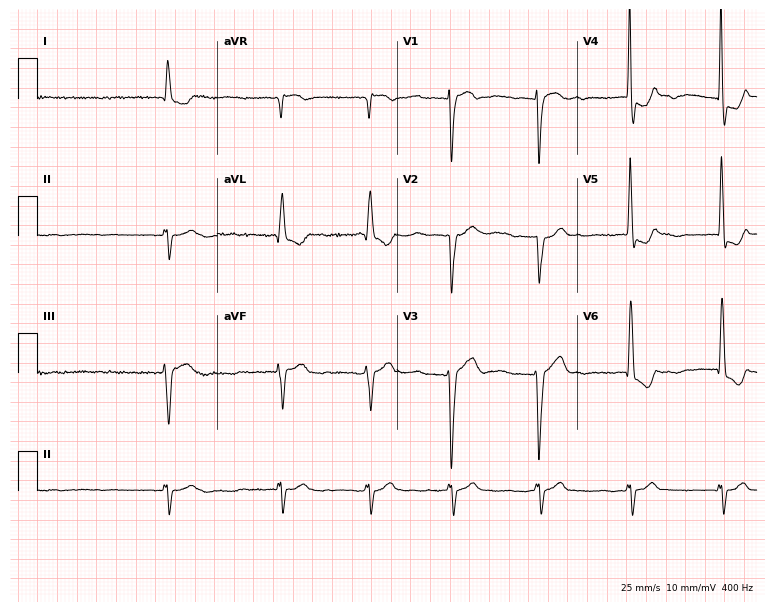
ECG — a female patient, 84 years old. Findings include atrial fibrillation (AF).